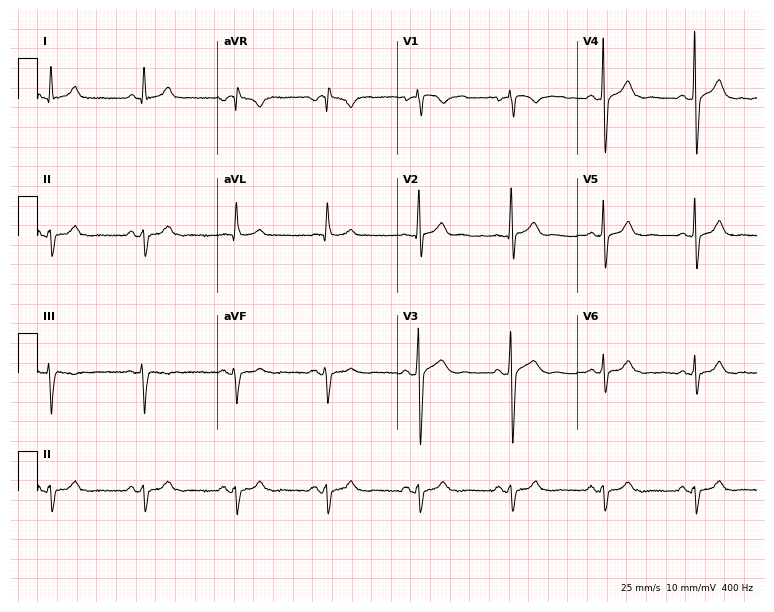
Standard 12-lead ECG recorded from a man, 54 years old (7.3-second recording at 400 Hz). None of these six findings is recorded: first-degree AV block, right bundle branch block, left bundle branch block, sinus bradycardia, atrial fibrillation, sinus tachycardia.